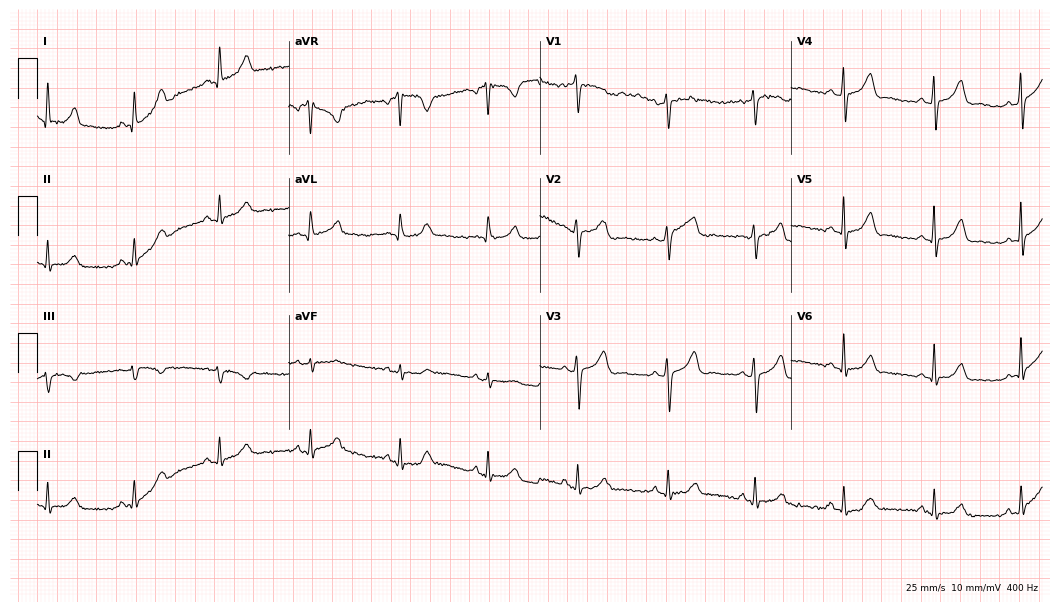
12-lead ECG from a 46-year-old female. Labelled as a normal ECG.